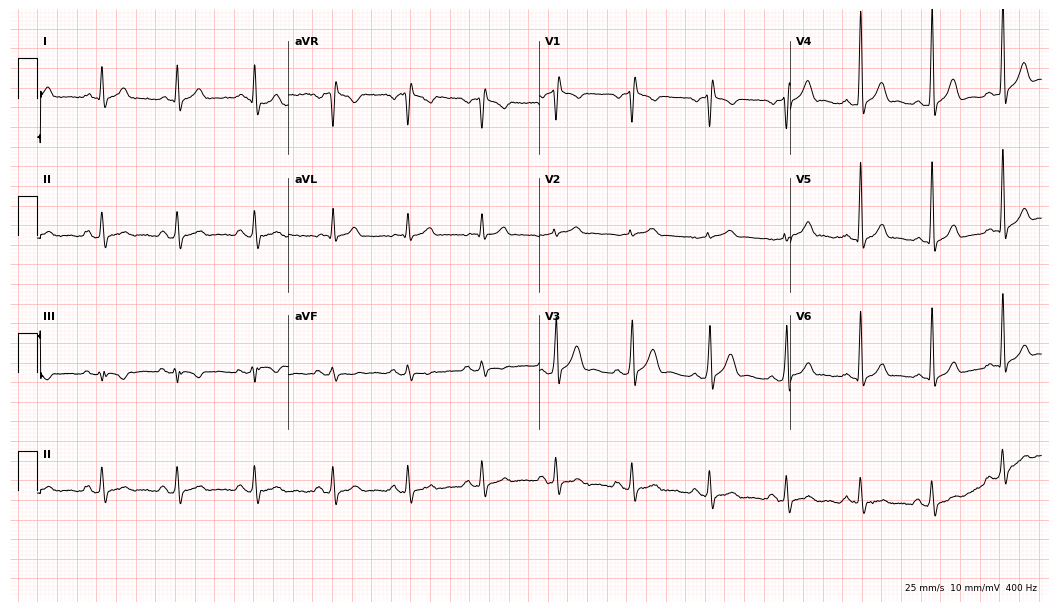
Resting 12-lead electrocardiogram. Patient: a male, 39 years old. Read as a normal ECG.